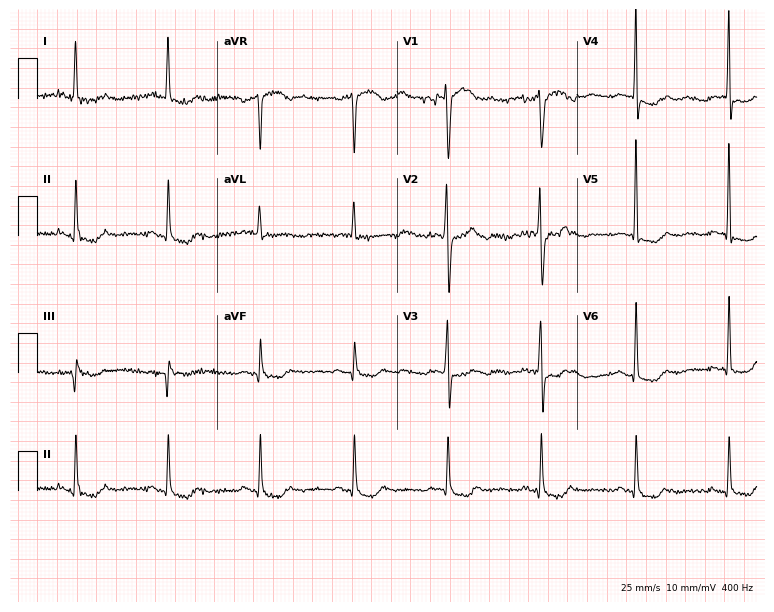
ECG — a man, 82 years old. Screened for six findings — first-degree AV block, right bundle branch block, left bundle branch block, sinus bradycardia, atrial fibrillation, sinus tachycardia — none is recorded.